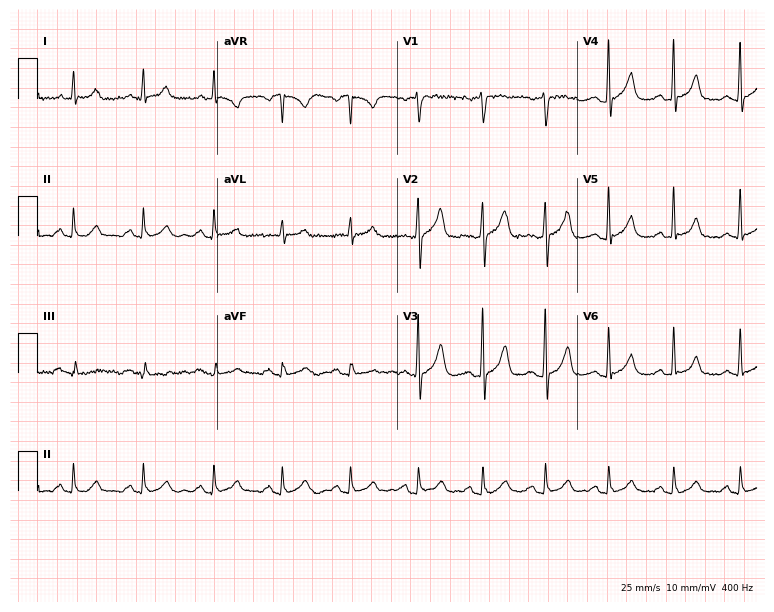
Electrocardiogram, a 46-year-old male. Overall reading on record: normal ECG.